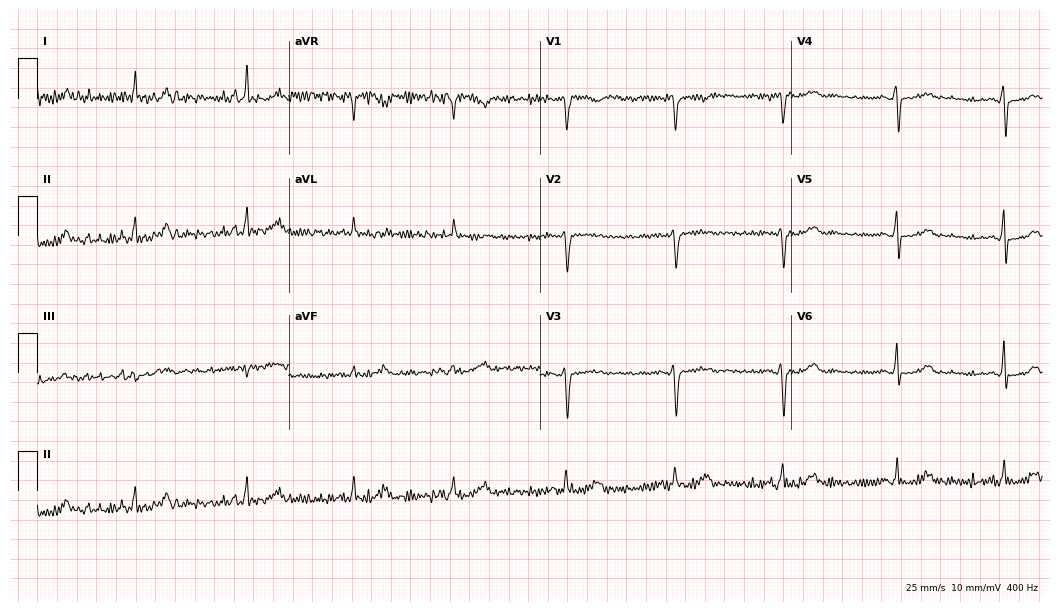
12-lead ECG from a female, 43 years old. Recorded interpretation: within normal limits.